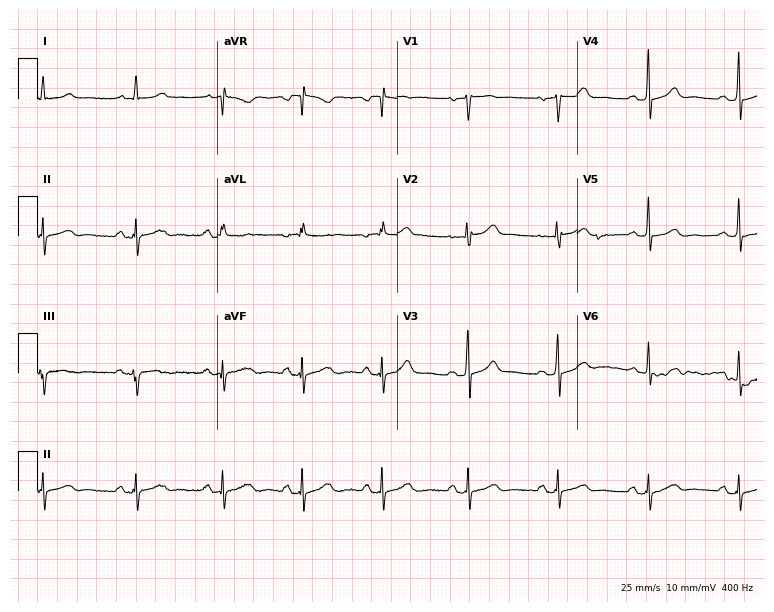
12-lead ECG from a 68-year-old female patient (7.3-second recording at 400 Hz). Recorded interpretation: within normal limits.